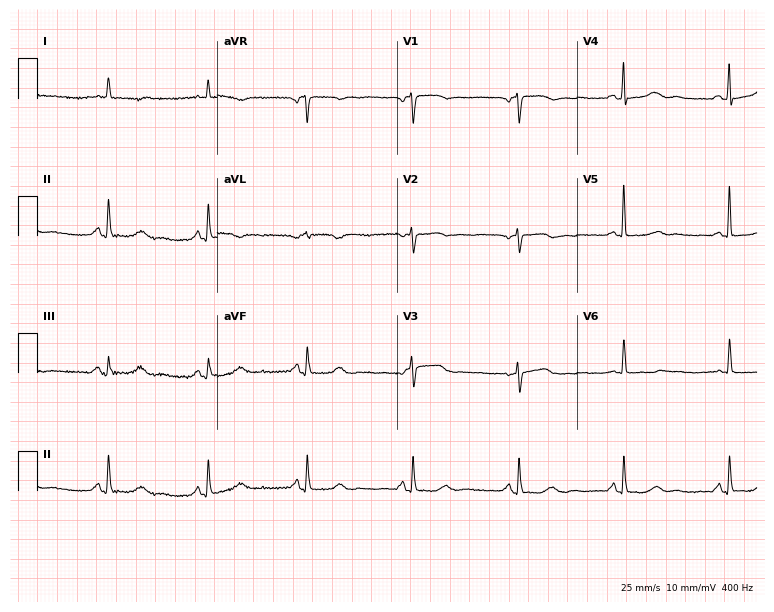
12-lead ECG from a 66-year-old female (7.3-second recording at 400 Hz). No first-degree AV block, right bundle branch block (RBBB), left bundle branch block (LBBB), sinus bradycardia, atrial fibrillation (AF) or sinus tachycardia recorded for this tracing. Other findings, if any, are not listed.